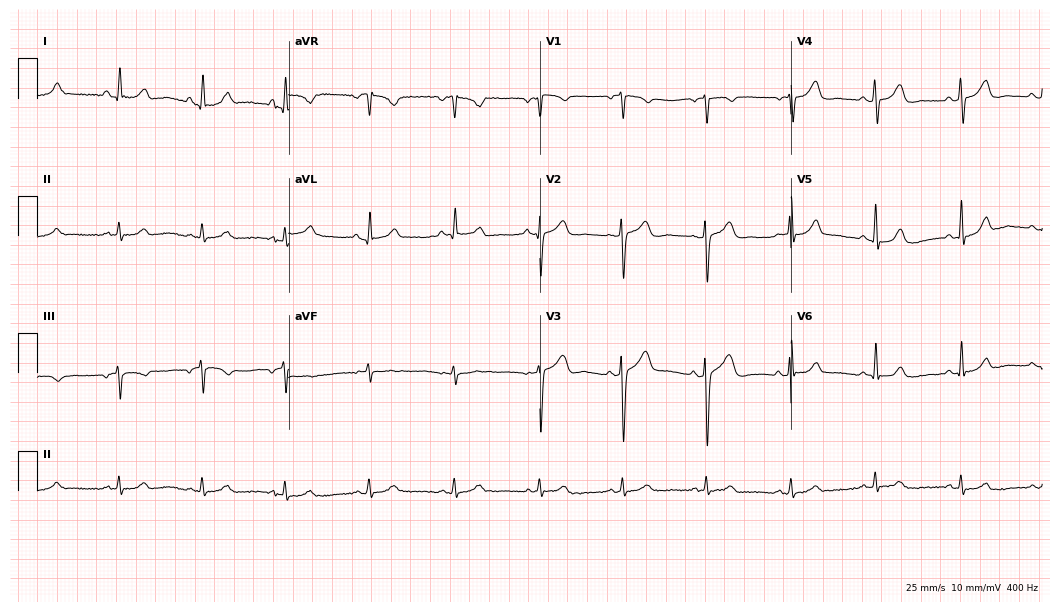
ECG — a 51-year-old female patient. Screened for six findings — first-degree AV block, right bundle branch block, left bundle branch block, sinus bradycardia, atrial fibrillation, sinus tachycardia — none is recorded. Other findings, if any, are not listed.